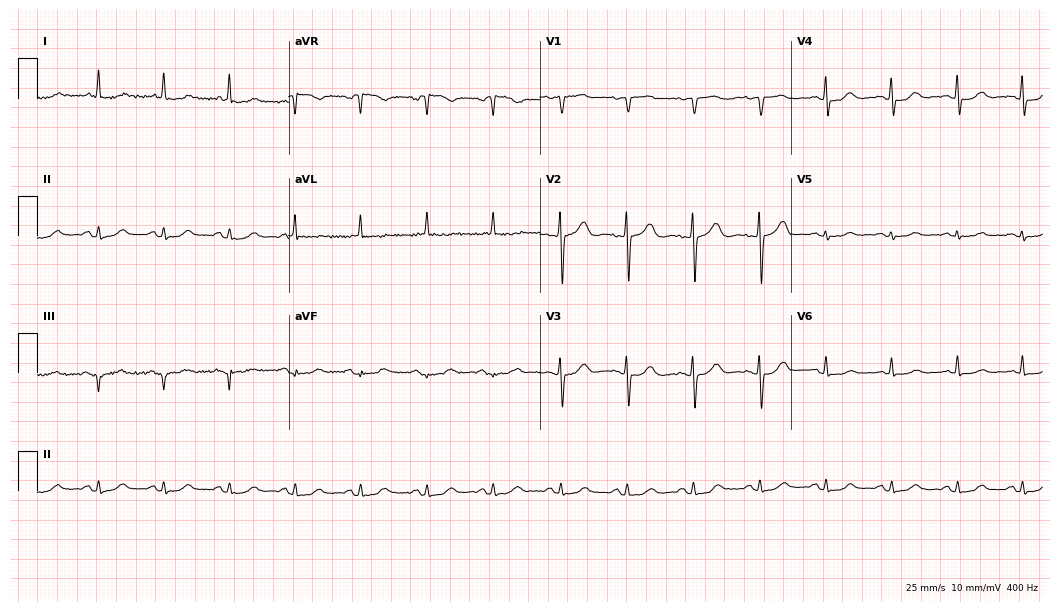
Standard 12-lead ECG recorded from a female, 78 years old. Read as a normal ECG.